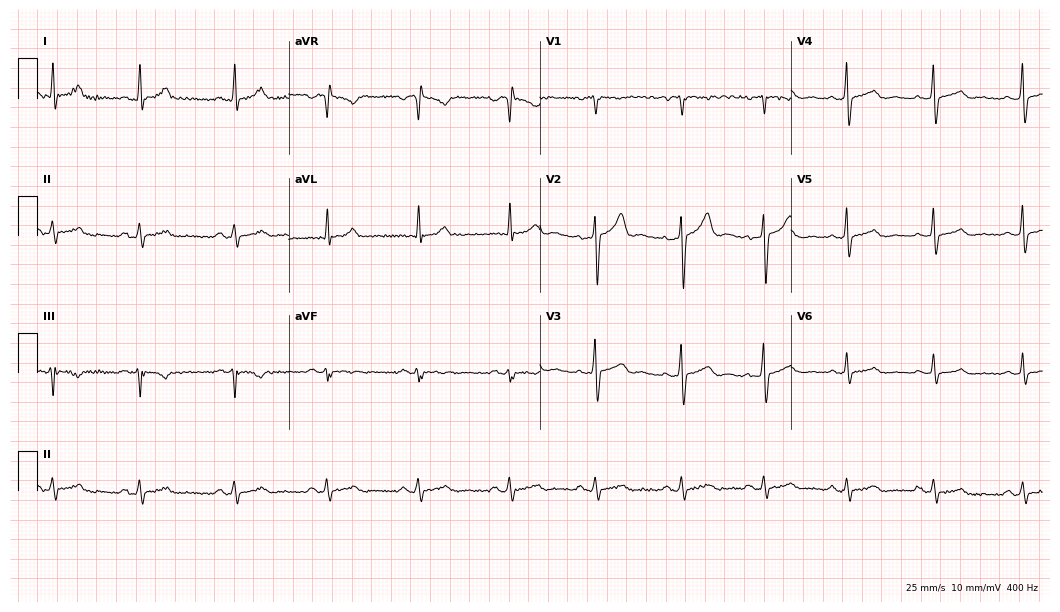
Standard 12-lead ECG recorded from a male, 40 years old. Read as a normal ECG.